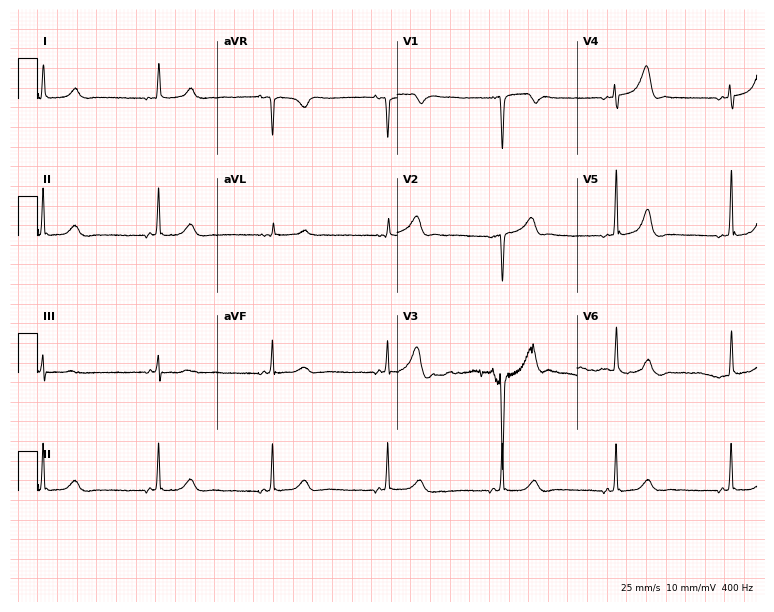
Standard 12-lead ECG recorded from a 67-year-old female patient. None of these six findings is recorded: first-degree AV block, right bundle branch block (RBBB), left bundle branch block (LBBB), sinus bradycardia, atrial fibrillation (AF), sinus tachycardia.